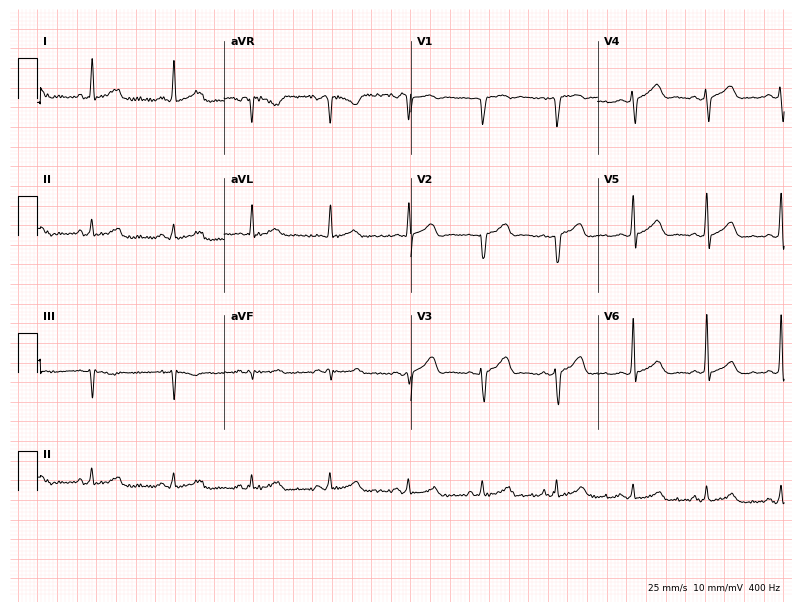
Standard 12-lead ECG recorded from a female, 38 years old. None of these six findings is recorded: first-degree AV block, right bundle branch block (RBBB), left bundle branch block (LBBB), sinus bradycardia, atrial fibrillation (AF), sinus tachycardia. Findings outside these six are not listed.